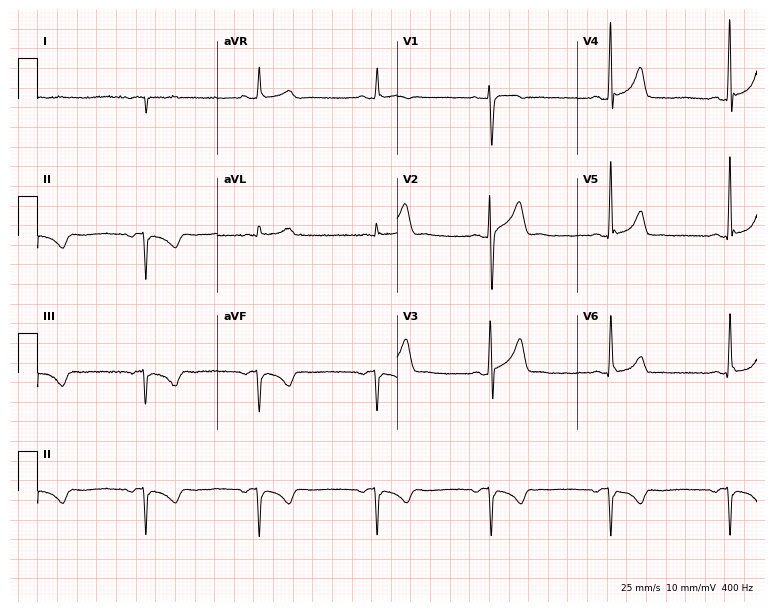
Standard 12-lead ECG recorded from a 44-year-old man (7.3-second recording at 400 Hz). None of these six findings is recorded: first-degree AV block, right bundle branch block, left bundle branch block, sinus bradycardia, atrial fibrillation, sinus tachycardia.